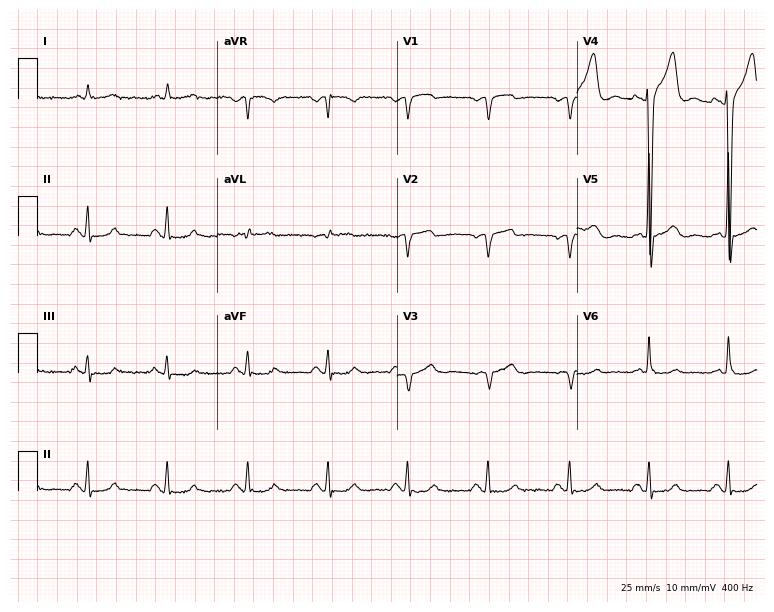
Resting 12-lead electrocardiogram. Patient: a 53-year-old male. Read as a normal ECG.